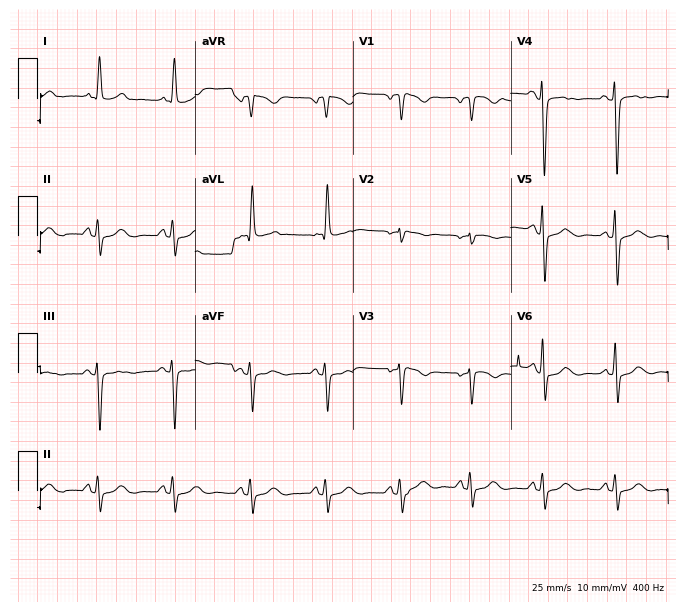
ECG (6.4-second recording at 400 Hz) — a woman, 74 years old. Screened for six findings — first-degree AV block, right bundle branch block (RBBB), left bundle branch block (LBBB), sinus bradycardia, atrial fibrillation (AF), sinus tachycardia — none is recorded. Only these six findings were labelled.